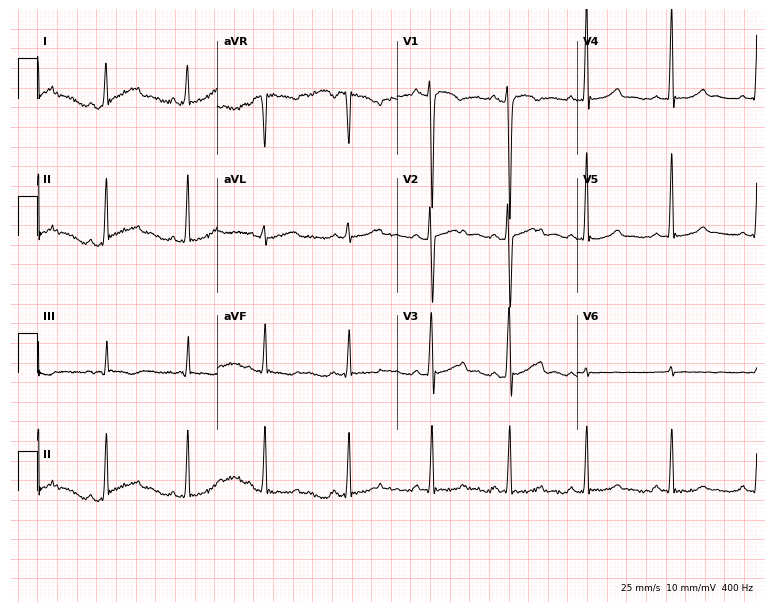
Resting 12-lead electrocardiogram (7.3-second recording at 400 Hz). Patient: a 33-year-old female. Read as a normal ECG.